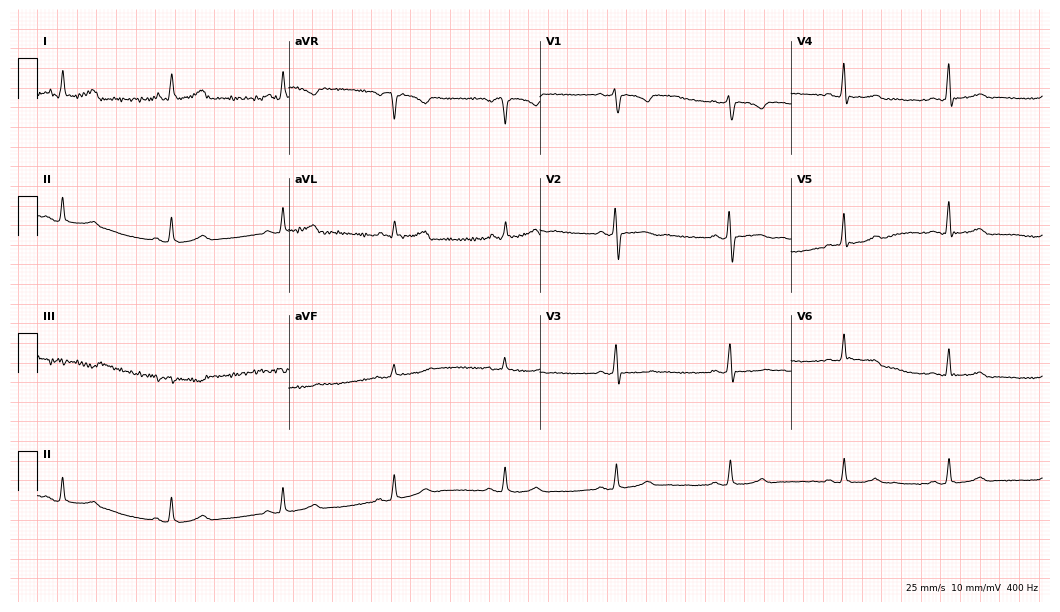
Resting 12-lead electrocardiogram. Patient: a 66-year-old female. Read as a normal ECG.